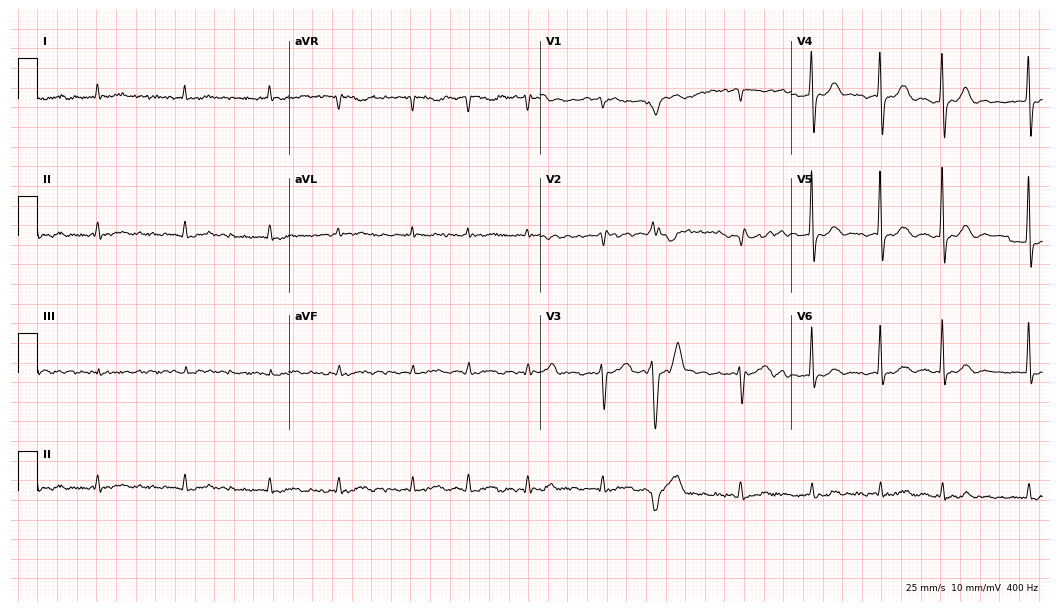
Electrocardiogram (10.2-second recording at 400 Hz), a 75-year-old man. Of the six screened findings (first-degree AV block, right bundle branch block, left bundle branch block, sinus bradycardia, atrial fibrillation, sinus tachycardia), none is recorded. Findings outside these six are not listed.